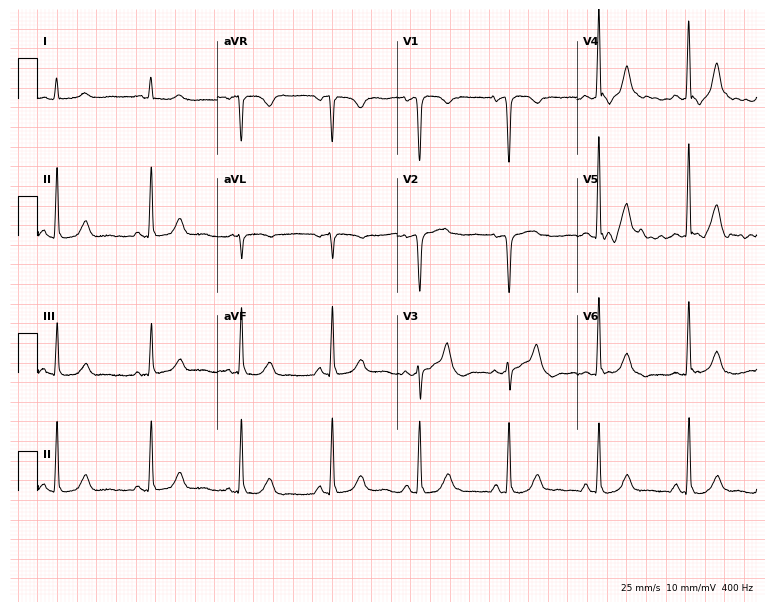
Electrocardiogram (7.3-second recording at 400 Hz), a female, 55 years old. Of the six screened findings (first-degree AV block, right bundle branch block, left bundle branch block, sinus bradycardia, atrial fibrillation, sinus tachycardia), none is recorded. Other findings, if any, are not listed.